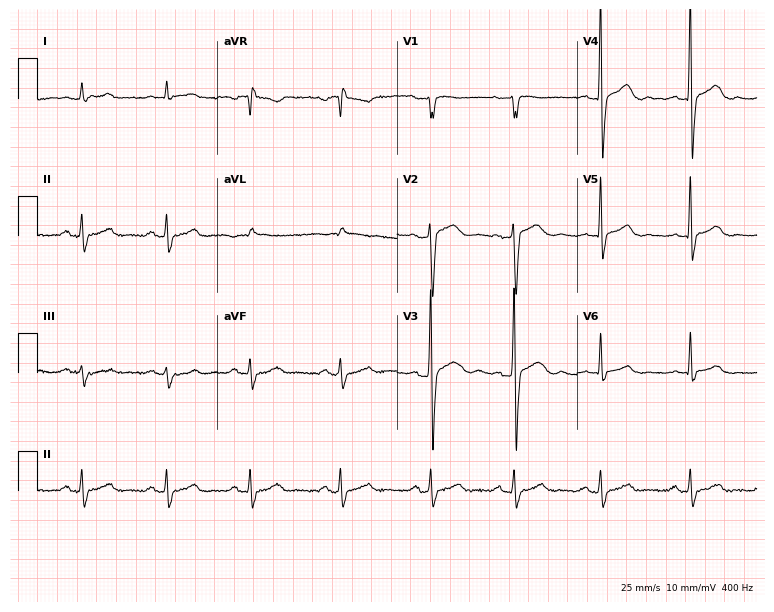
Electrocardiogram, a 43-year-old male. Overall reading on record: normal ECG.